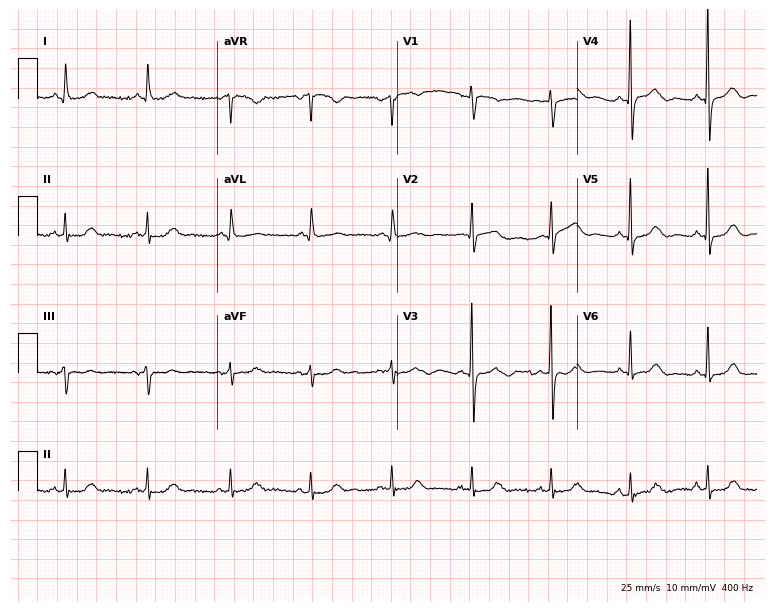
12-lead ECG from a female patient, 76 years old. Labelled as a normal ECG.